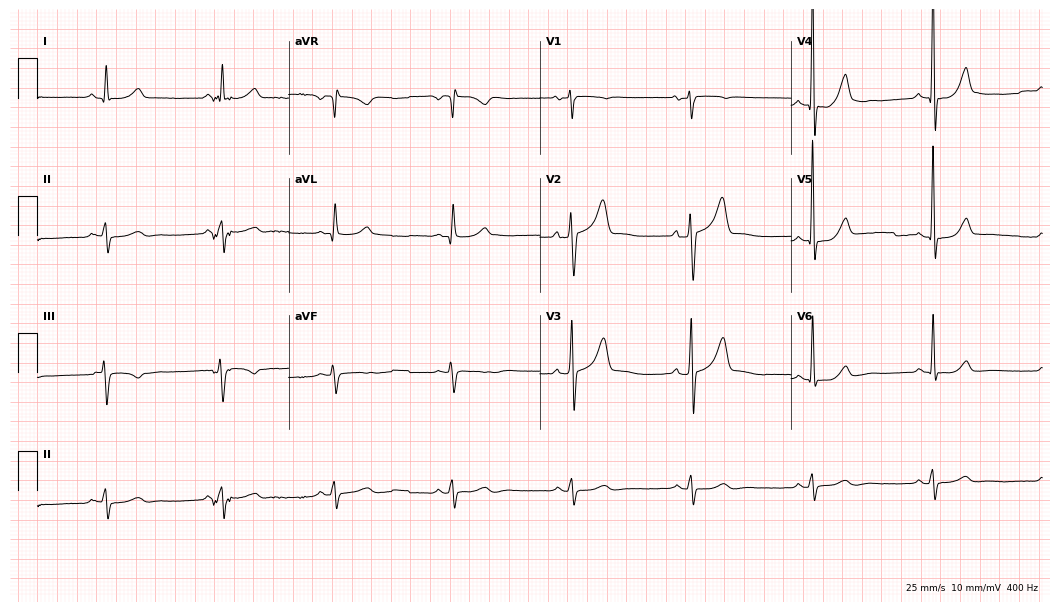
ECG — a man, 67 years old. Screened for six findings — first-degree AV block, right bundle branch block, left bundle branch block, sinus bradycardia, atrial fibrillation, sinus tachycardia — none is recorded. Only these six findings were labelled.